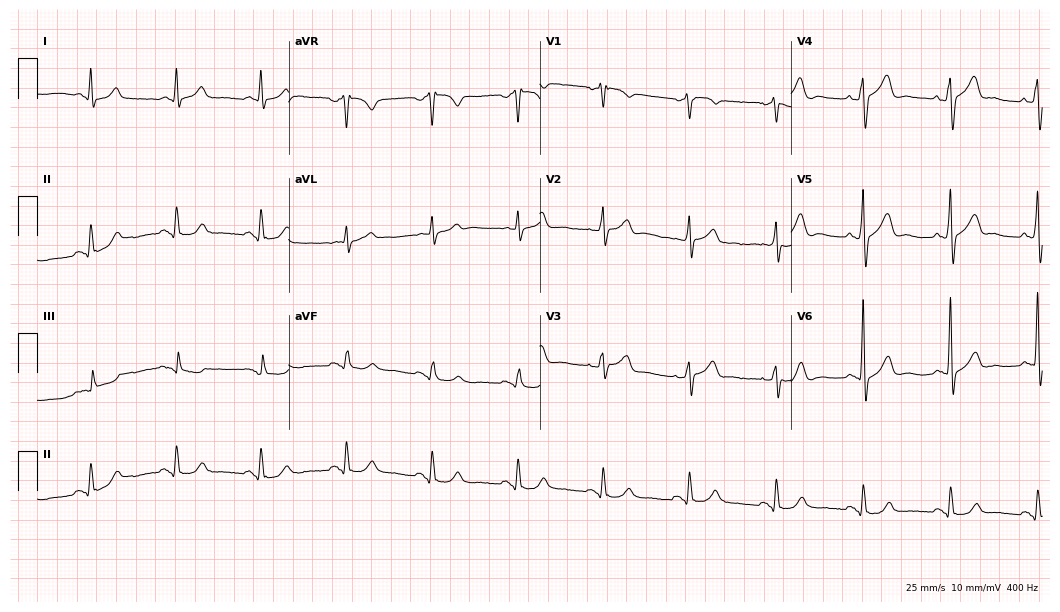
Resting 12-lead electrocardiogram. Patient: a 65-year-old man. Read as a normal ECG.